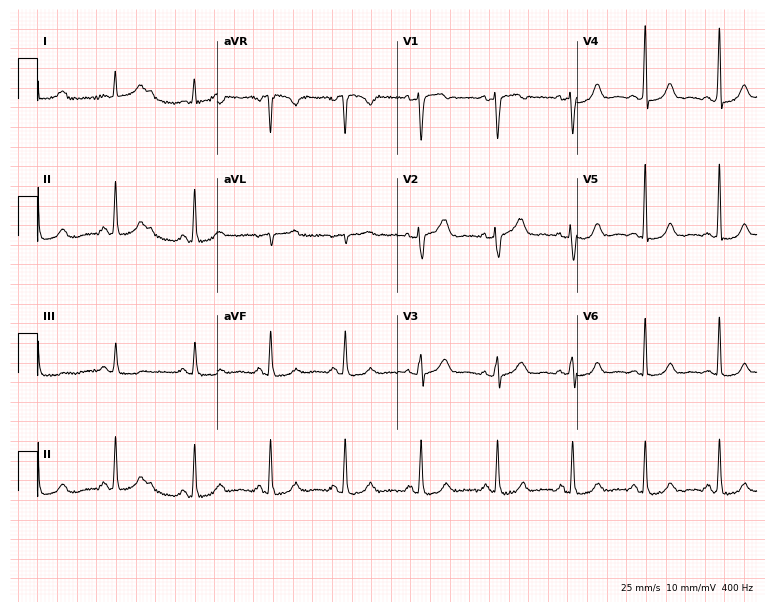
Resting 12-lead electrocardiogram. Patient: a 47-year-old female. None of these six findings is recorded: first-degree AV block, right bundle branch block, left bundle branch block, sinus bradycardia, atrial fibrillation, sinus tachycardia.